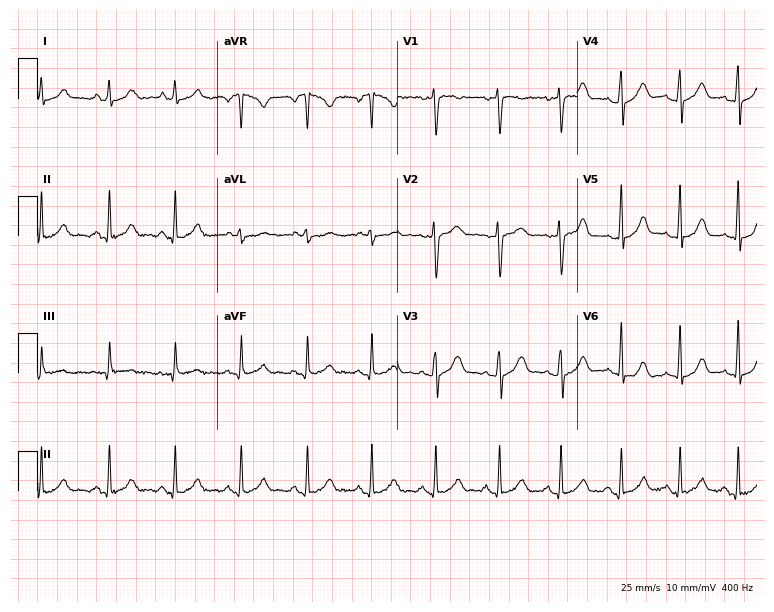
ECG (7.3-second recording at 400 Hz) — a woman, 18 years old. Labelled as a normal ECG.